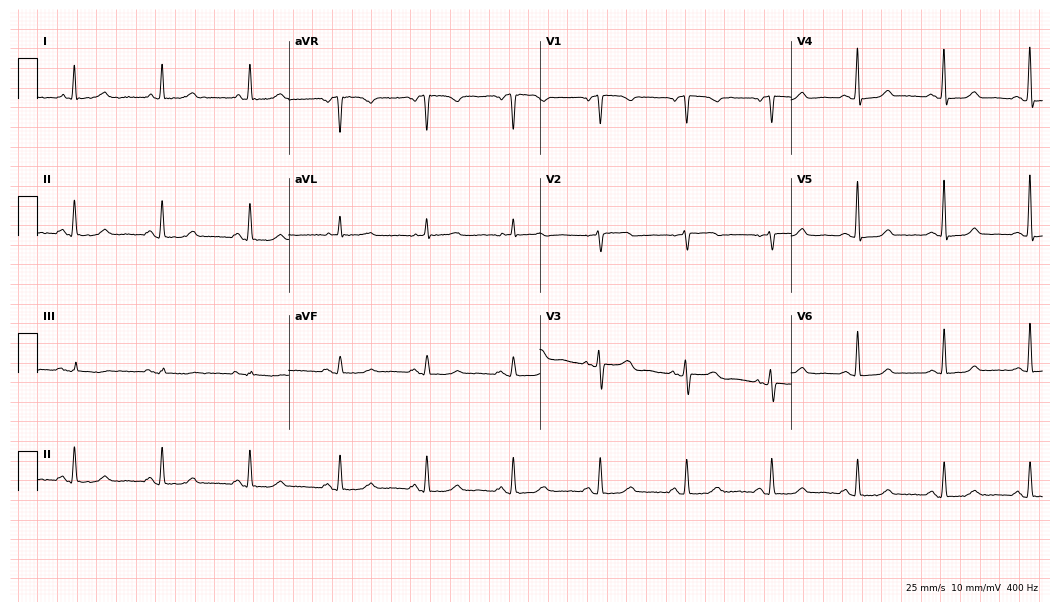
12-lead ECG from a woman, 63 years old. Recorded interpretation: within normal limits.